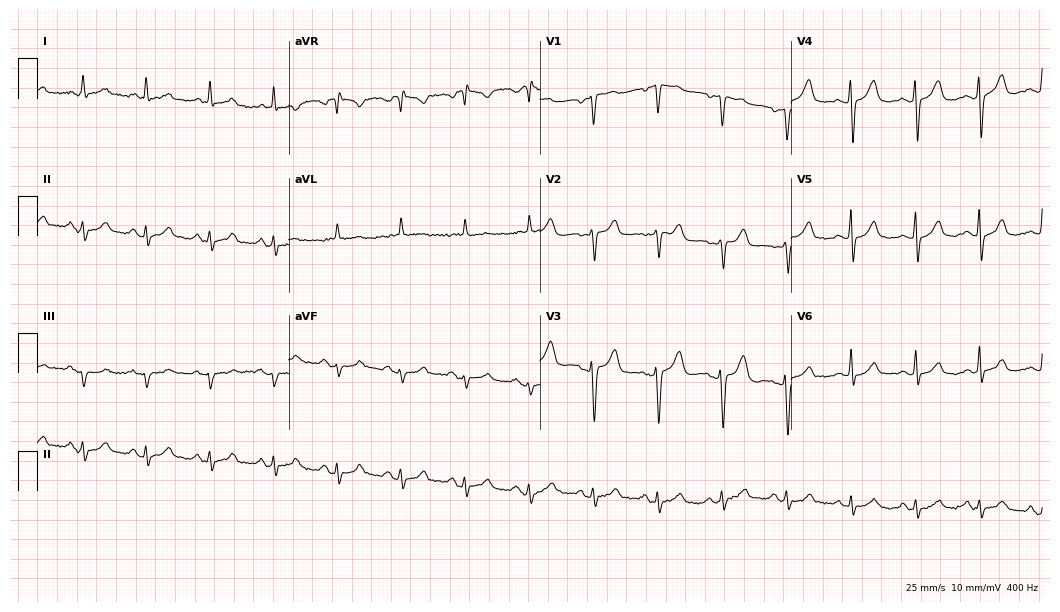
Resting 12-lead electrocardiogram. Patient: a 69-year-old female. Read as a normal ECG.